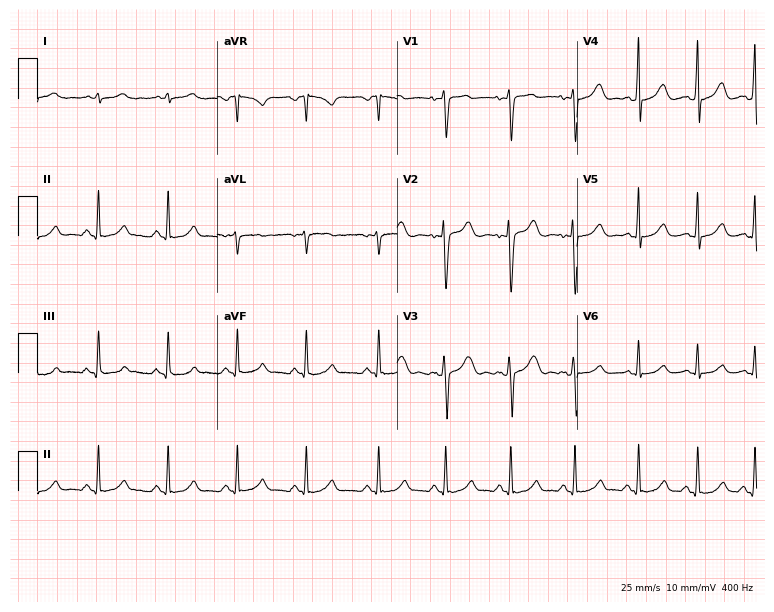
Electrocardiogram (7.3-second recording at 400 Hz), a woman, 20 years old. Overall reading on record: normal ECG.